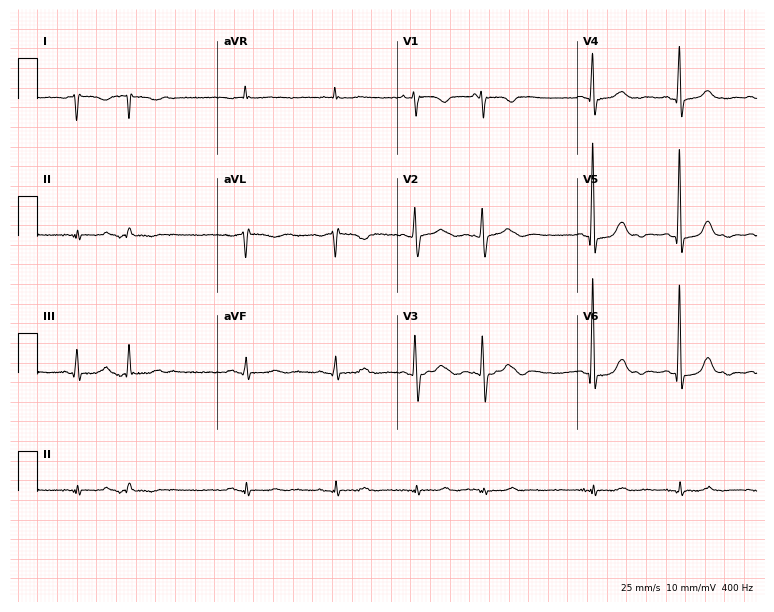
Resting 12-lead electrocardiogram. Patient: a female, 82 years old. None of these six findings is recorded: first-degree AV block, right bundle branch block, left bundle branch block, sinus bradycardia, atrial fibrillation, sinus tachycardia. Other findings, if any, are not listed.